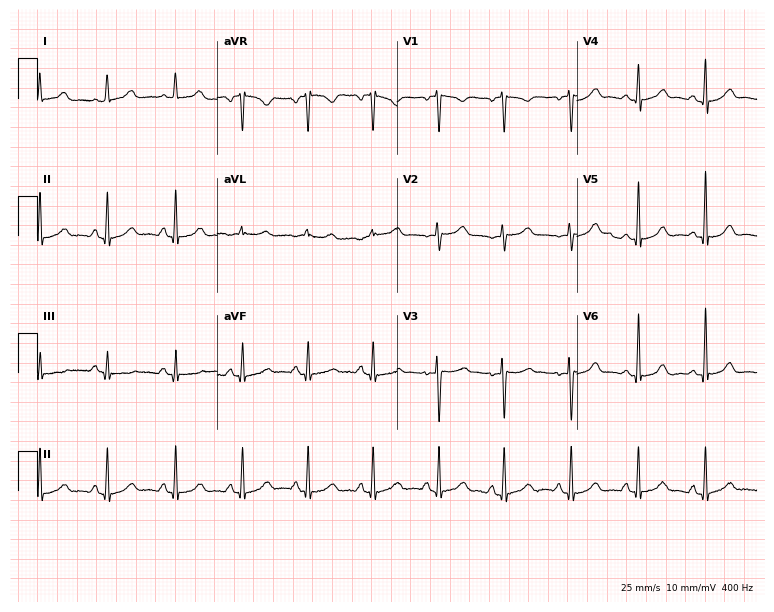
Electrocardiogram, a female, 42 years old. Overall reading on record: normal ECG.